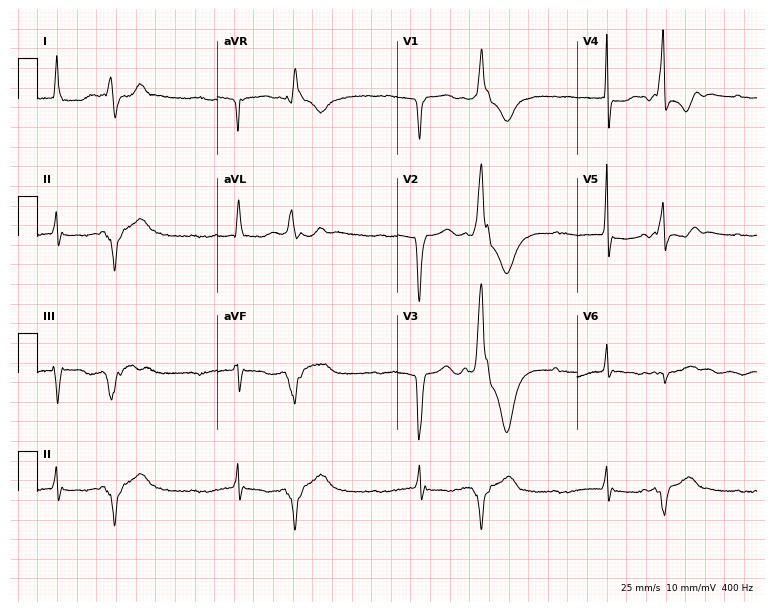
Standard 12-lead ECG recorded from a female, 68 years old (7.3-second recording at 400 Hz). The tracing shows first-degree AV block.